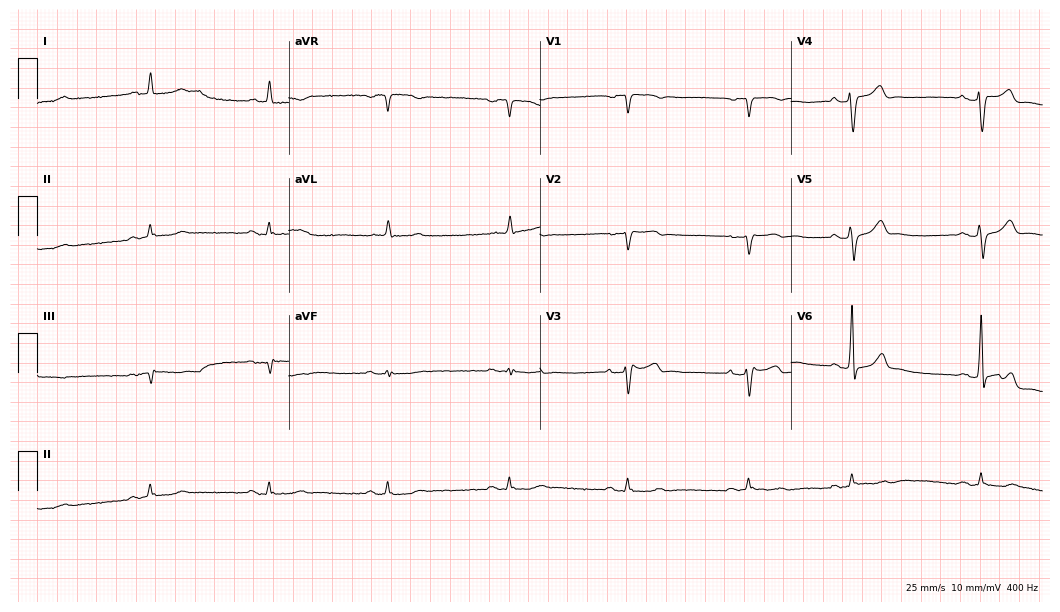
12-lead ECG from an 83-year-old male. No first-degree AV block, right bundle branch block, left bundle branch block, sinus bradycardia, atrial fibrillation or sinus tachycardia recorded for this tracing. Only these six findings were labelled.